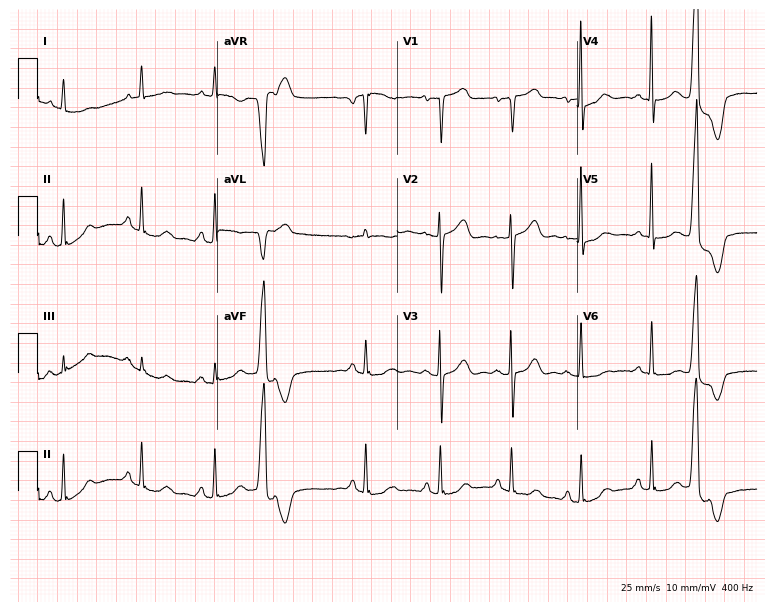
Electrocardiogram (7.3-second recording at 400 Hz), a 63-year-old female patient. Of the six screened findings (first-degree AV block, right bundle branch block (RBBB), left bundle branch block (LBBB), sinus bradycardia, atrial fibrillation (AF), sinus tachycardia), none is recorded. Only these six findings were labelled.